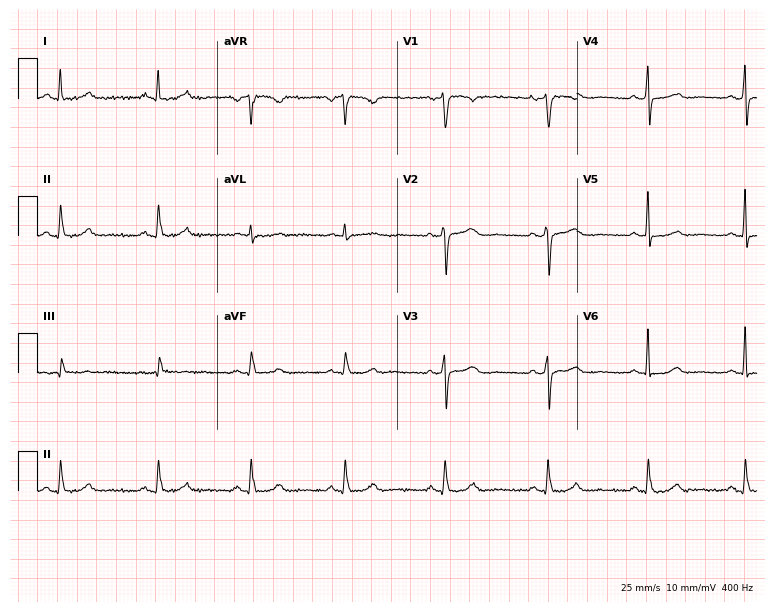
12-lead ECG from a 51-year-old woman. Recorded interpretation: within normal limits.